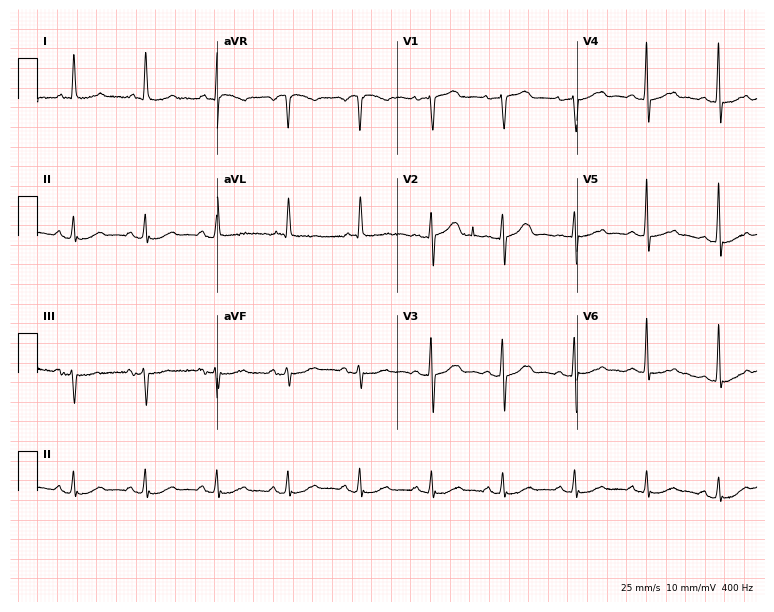
12-lead ECG (7.3-second recording at 400 Hz) from a woman, 78 years old. Labelled as a normal ECG.